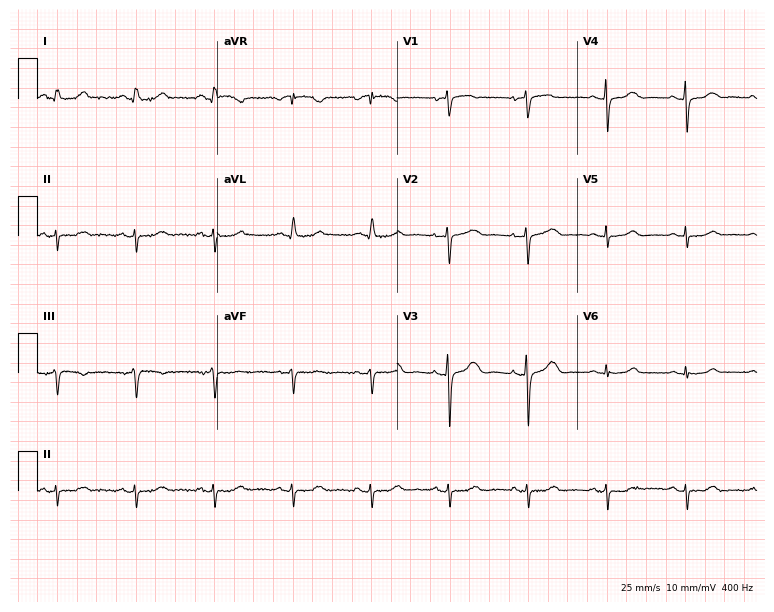
Resting 12-lead electrocardiogram (7.3-second recording at 400 Hz). Patient: a 68-year-old female. None of these six findings is recorded: first-degree AV block, right bundle branch block, left bundle branch block, sinus bradycardia, atrial fibrillation, sinus tachycardia.